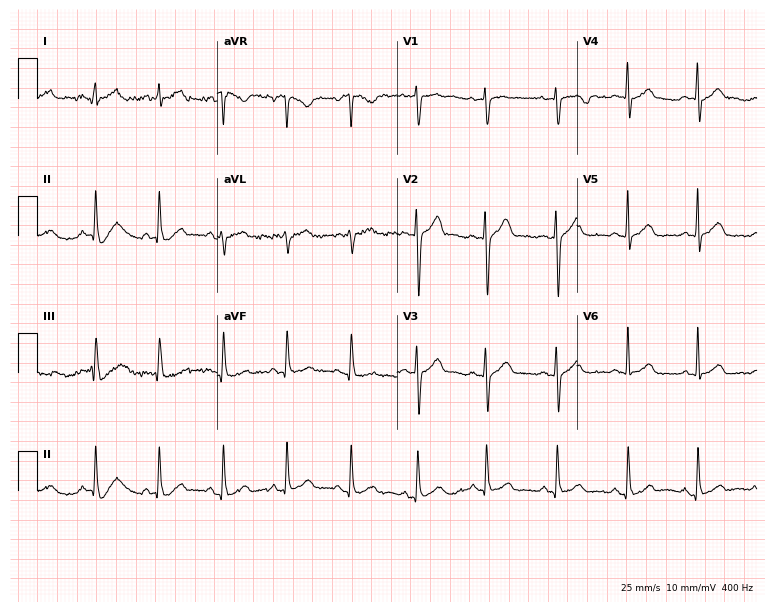
Electrocardiogram, a 39-year-old man. Overall reading on record: normal ECG.